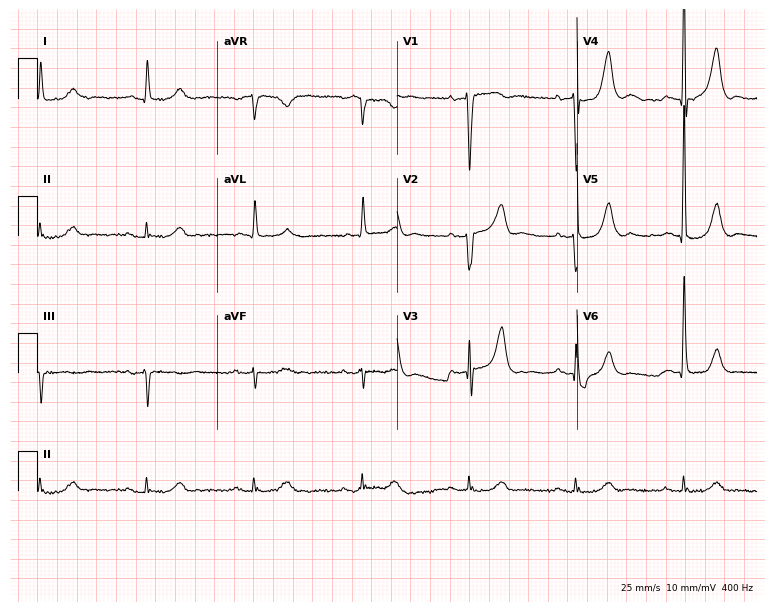
12-lead ECG from a male, 85 years old. Screened for six findings — first-degree AV block, right bundle branch block, left bundle branch block, sinus bradycardia, atrial fibrillation, sinus tachycardia — none is recorded. Only these six findings were labelled.